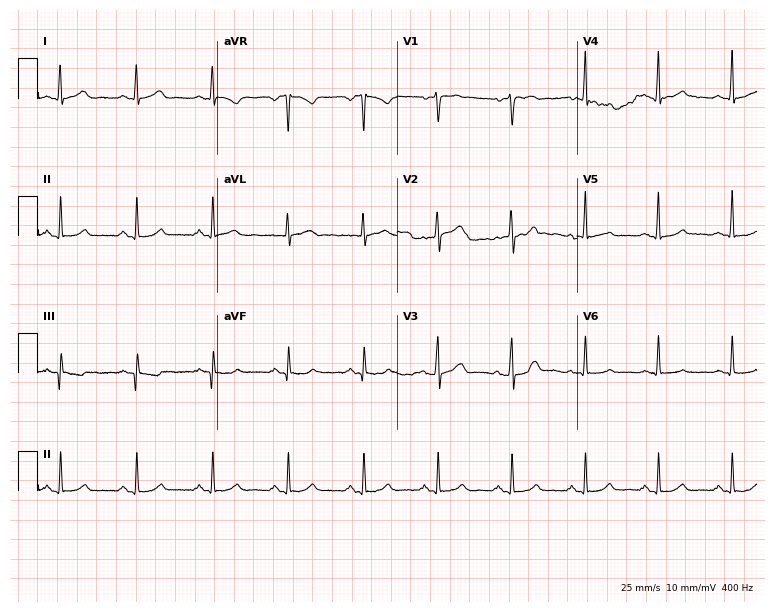
Resting 12-lead electrocardiogram (7.3-second recording at 400 Hz). Patient: a male, 54 years old. Read as a normal ECG.